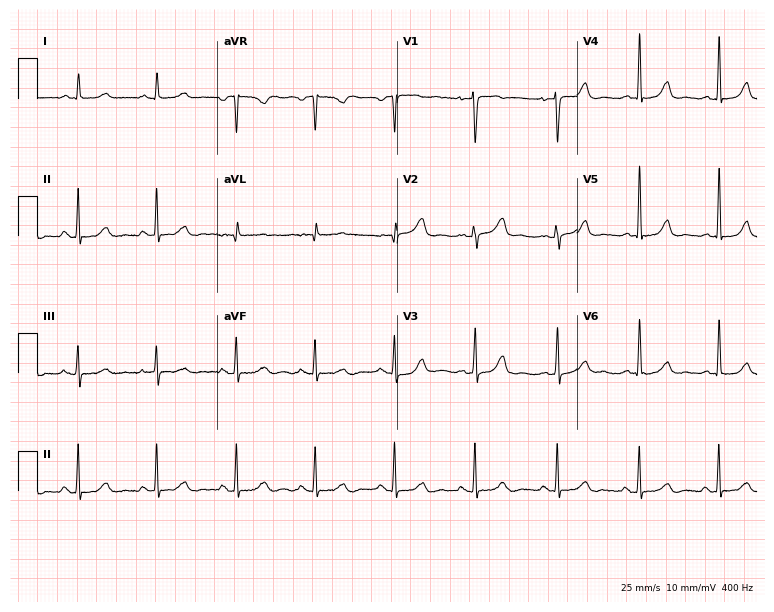
Standard 12-lead ECG recorded from a 56-year-old female patient. Read as a normal ECG.